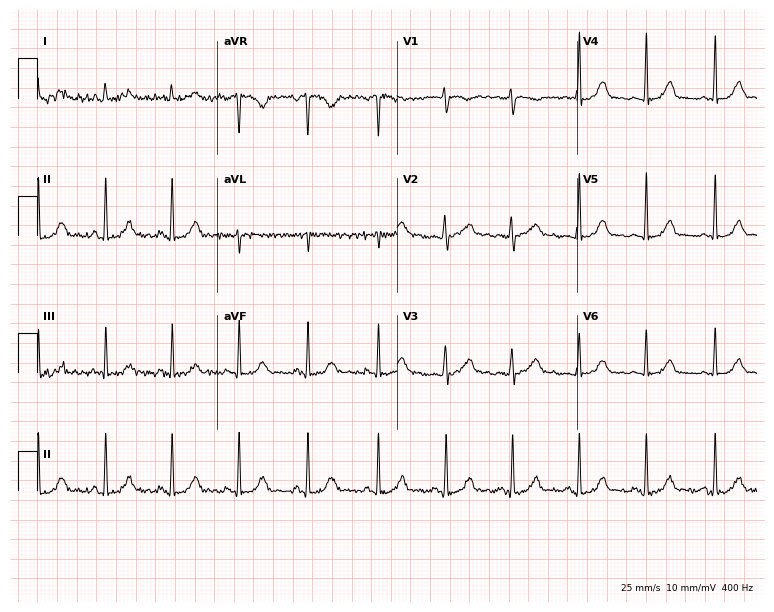
12-lead ECG from a female, 33 years old. Labelled as a normal ECG.